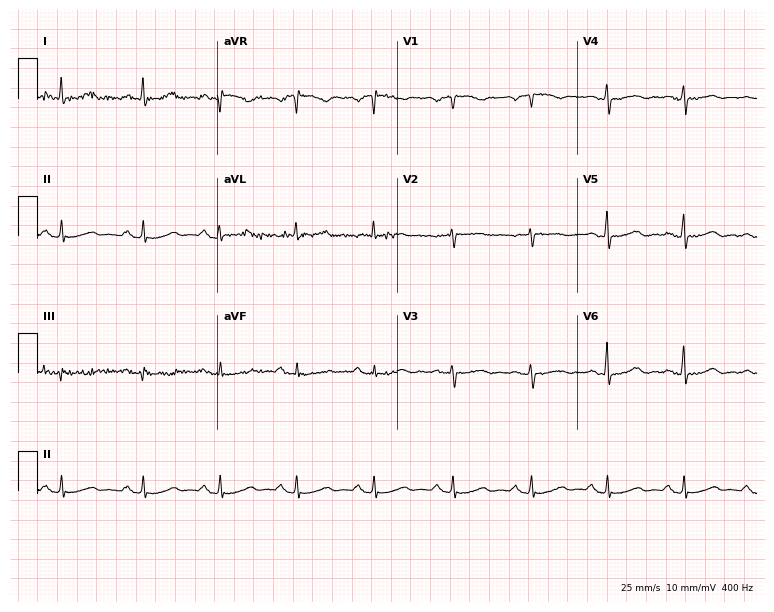
12-lead ECG from a 66-year-old woman. Recorded interpretation: within normal limits.